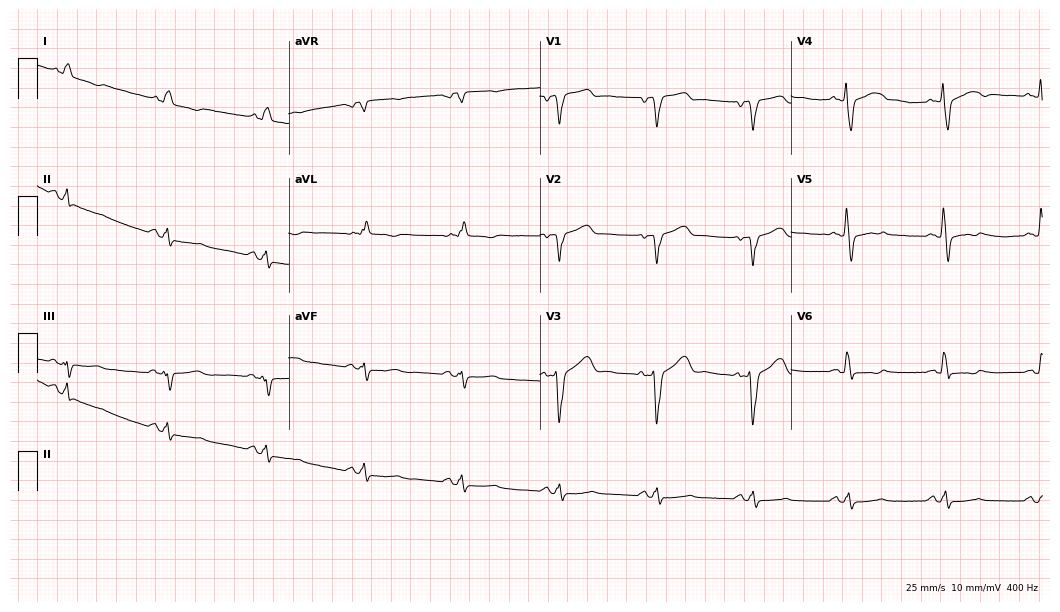
12-lead ECG (10.2-second recording at 400 Hz) from a 67-year-old male patient. Findings include left bundle branch block (LBBB).